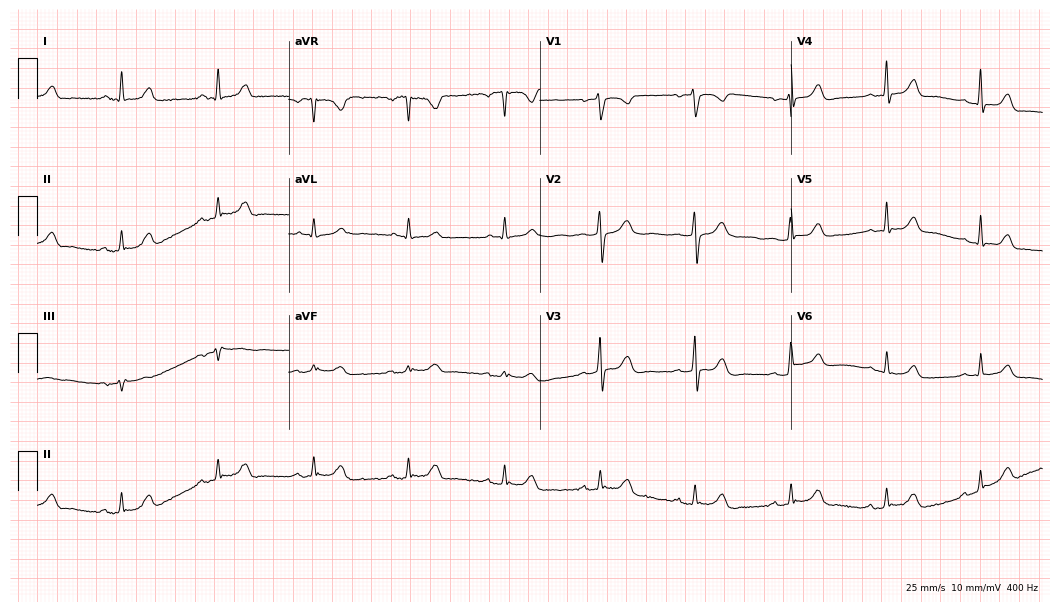
ECG — a female, 68 years old. Labelled as a normal ECG.